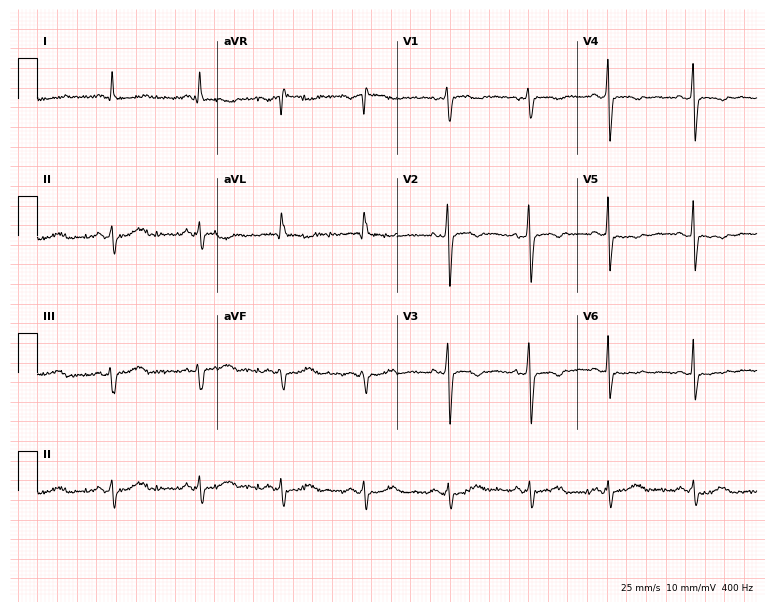
12-lead ECG (7.3-second recording at 400 Hz) from a 57-year-old woman. Screened for six findings — first-degree AV block, right bundle branch block, left bundle branch block, sinus bradycardia, atrial fibrillation, sinus tachycardia — none is recorded.